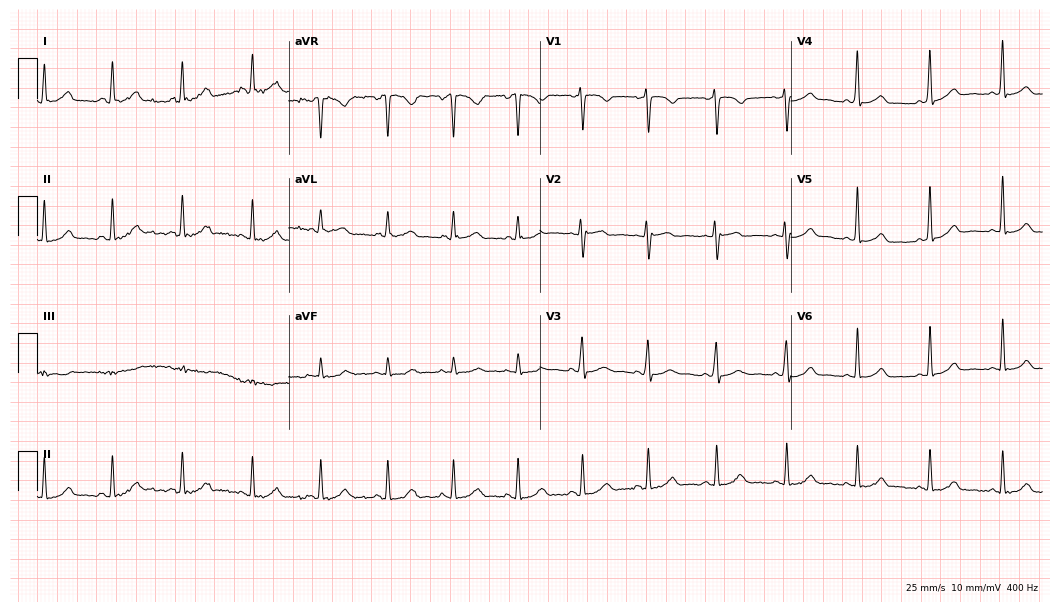
Standard 12-lead ECG recorded from a woman, 35 years old. Read as a normal ECG.